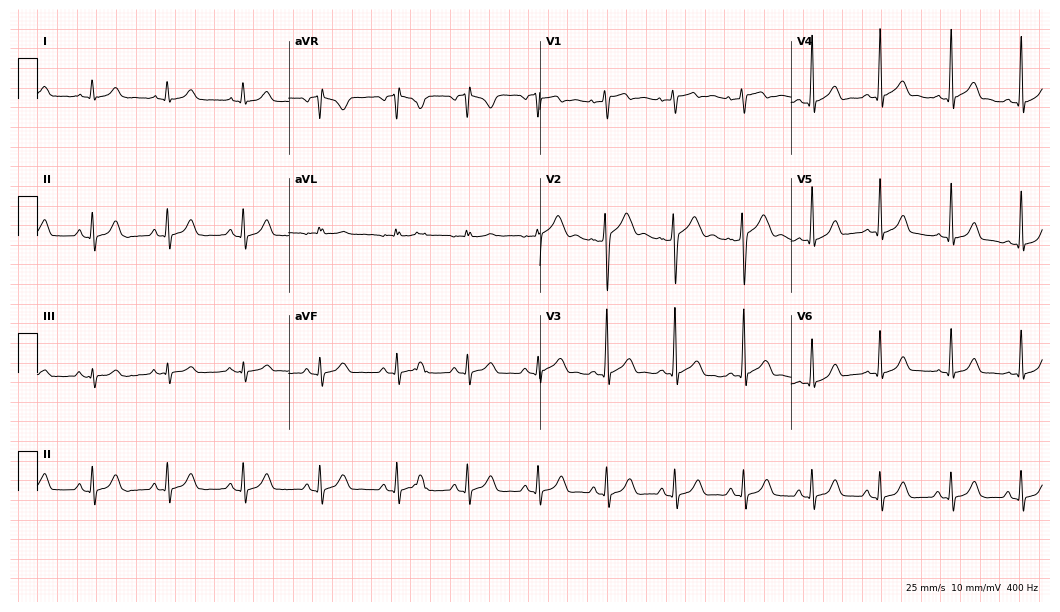
12-lead ECG (10.2-second recording at 400 Hz) from a 24-year-old male patient. Labelled as a normal ECG.